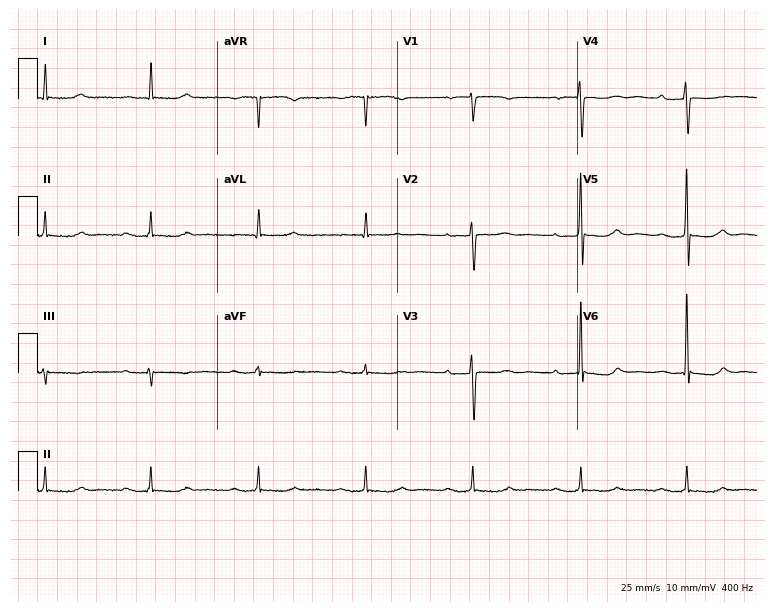
Standard 12-lead ECG recorded from an 82-year-old woman. The tracing shows first-degree AV block.